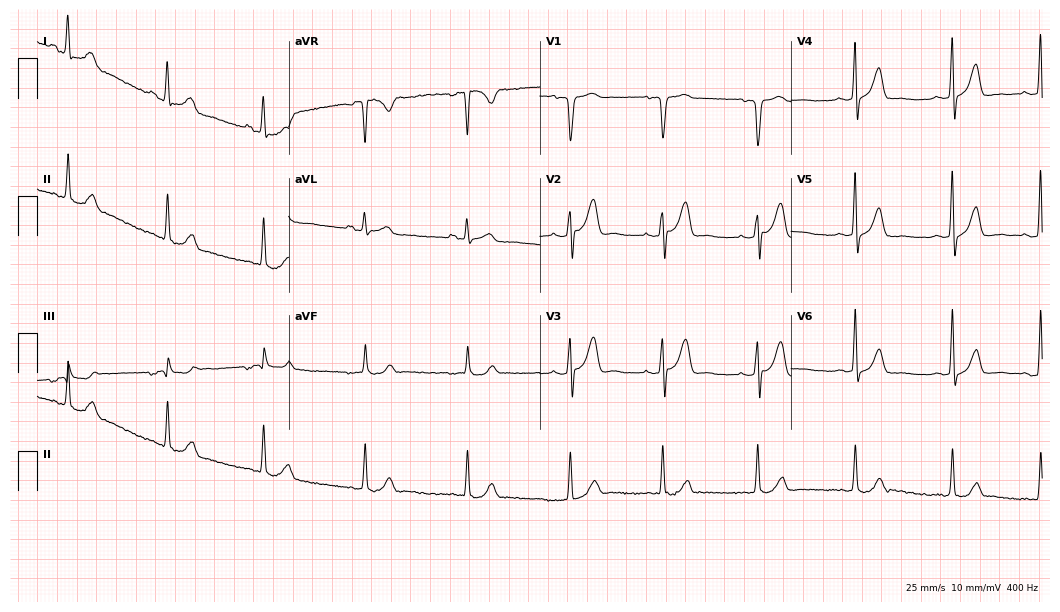
Standard 12-lead ECG recorded from a male patient, 39 years old. Read as a normal ECG.